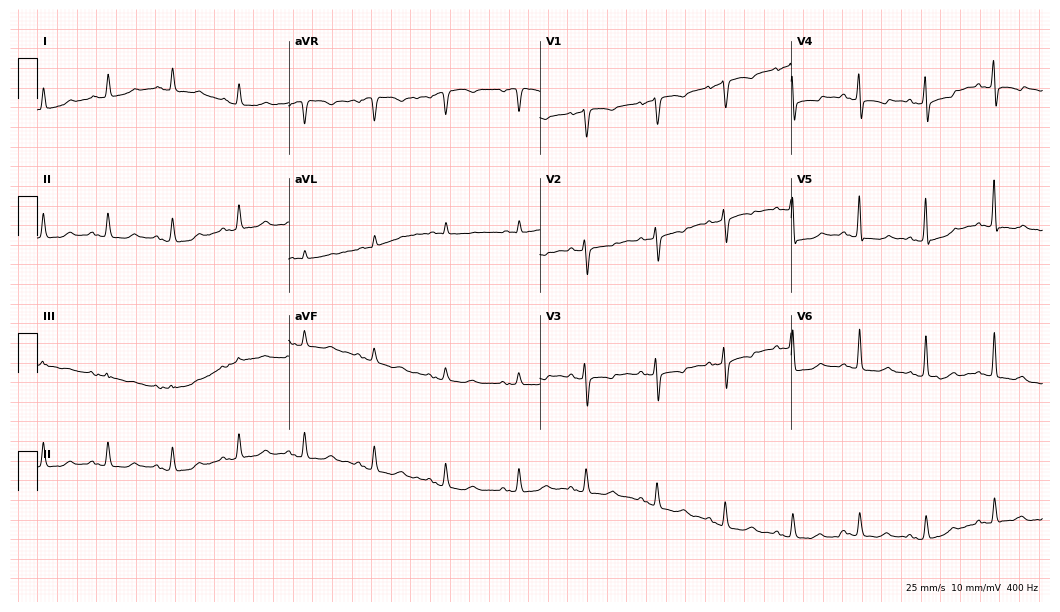
12-lead ECG from a female patient, 83 years old. No first-degree AV block, right bundle branch block (RBBB), left bundle branch block (LBBB), sinus bradycardia, atrial fibrillation (AF) or sinus tachycardia recorded for this tracing.